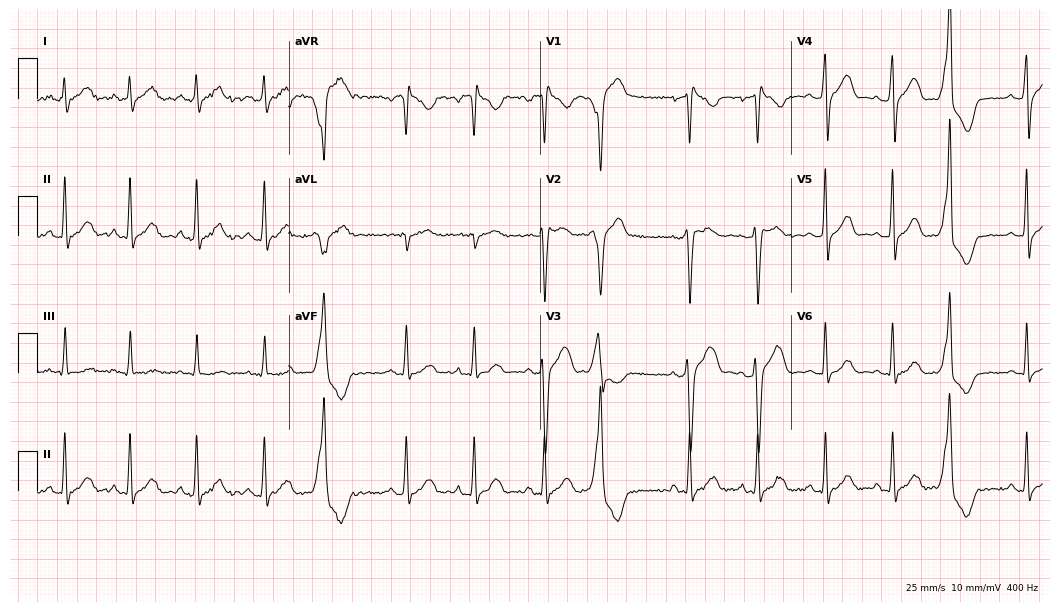
Electrocardiogram, a 39-year-old man. Of the six screened findings (first-degree AV block, right bundle branch block, left bundle branch block, sinus bradycardia, atrial fibrillation, sinus tachycardia), none is recorded. Findings outside these six are not listed.